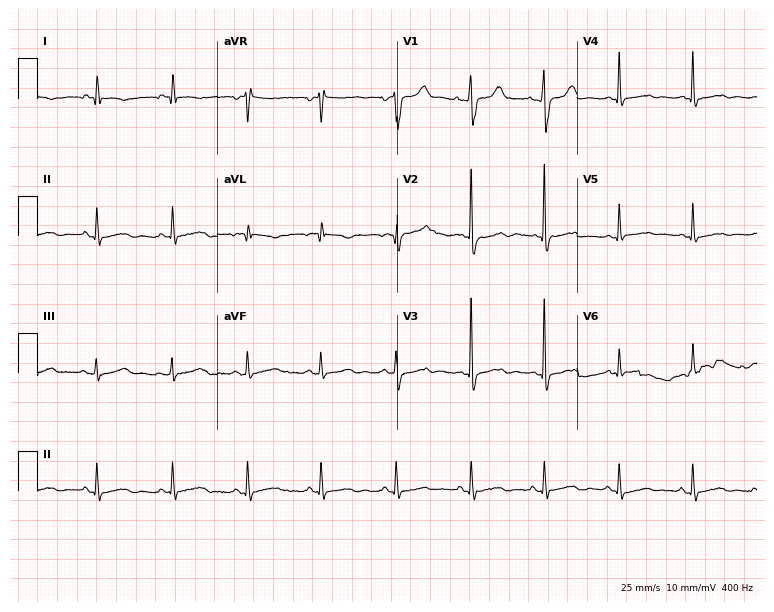
ECG — a female patient, 73 years old. Screened for six findings — first-degree AV block, right bundle branch block, left bundle branch block, sinus bradycardia, atrial fibrillation, sinus tachycardia — none is recorded. Other findings, if any, are not listed.